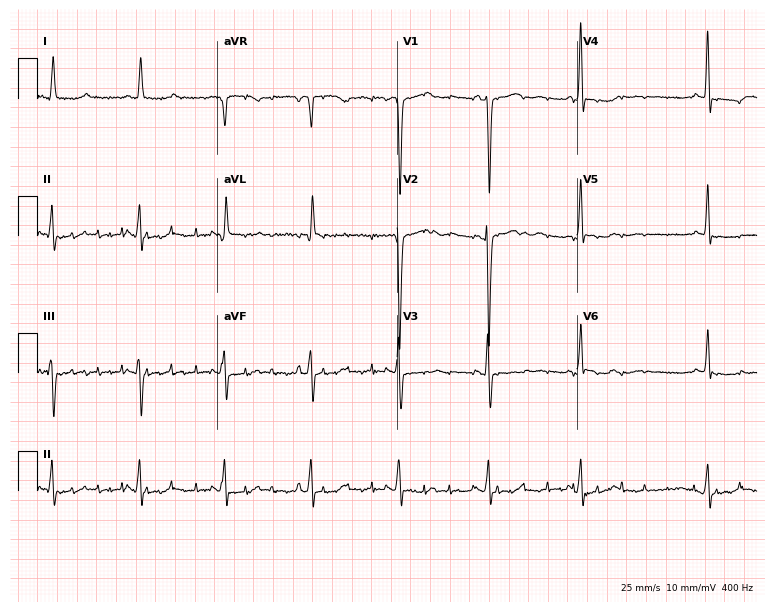
Standard 12-lead ECG recorded from a 75-year-old woman. None of these six findings is recorded: first-degree AV block, right bundle branch block, left bundle branch block, sinus bradycardia, atrial fibrillation, sinus tachycardia.